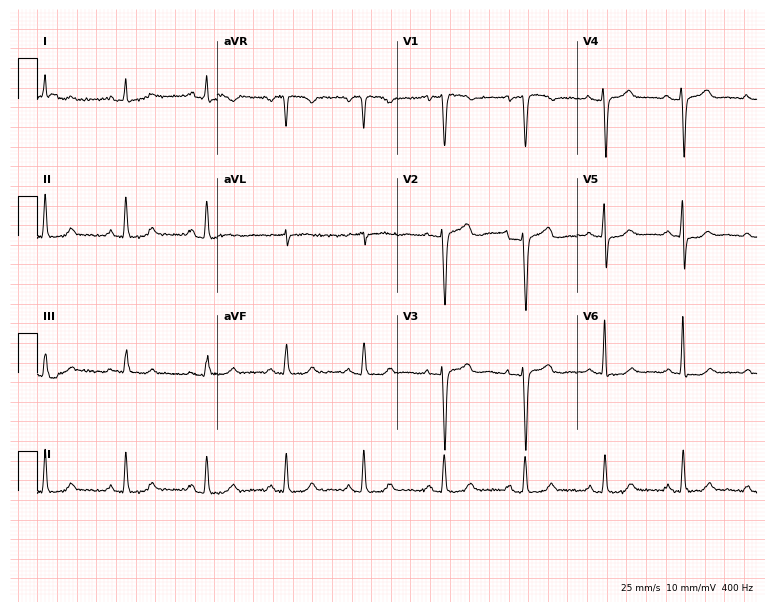
Resting 12-lead electrocardiogram. Patient: a woman, 59 years old. None of these six findings is recorded: first-degree AV block, right bundle branch block (RBBB), left bundle branch block (LBBB), sinus bradycardia, atrial fibrillation (AF), sinus tachycardia. Findings outside these six are not listed.